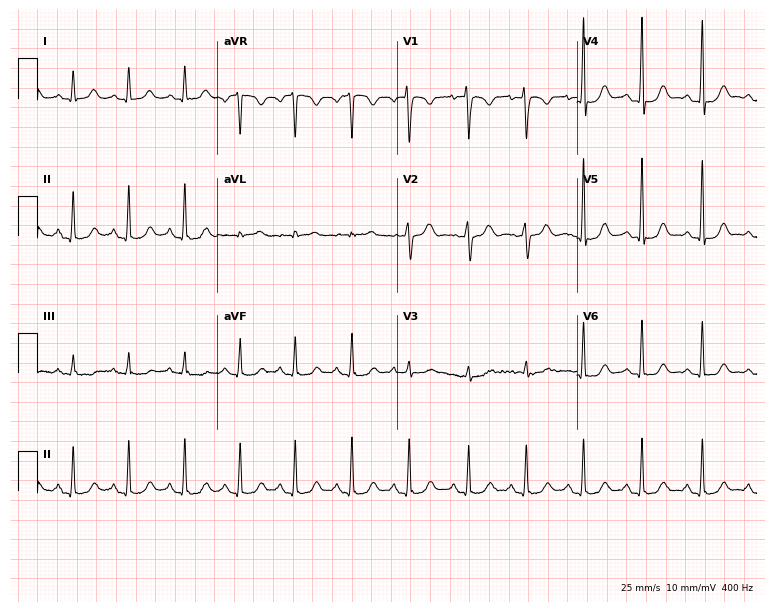
12-lead ECG (7.3-second recording at 400 Hz) from a 30-year-old woman. Labelled as a normal ECG.